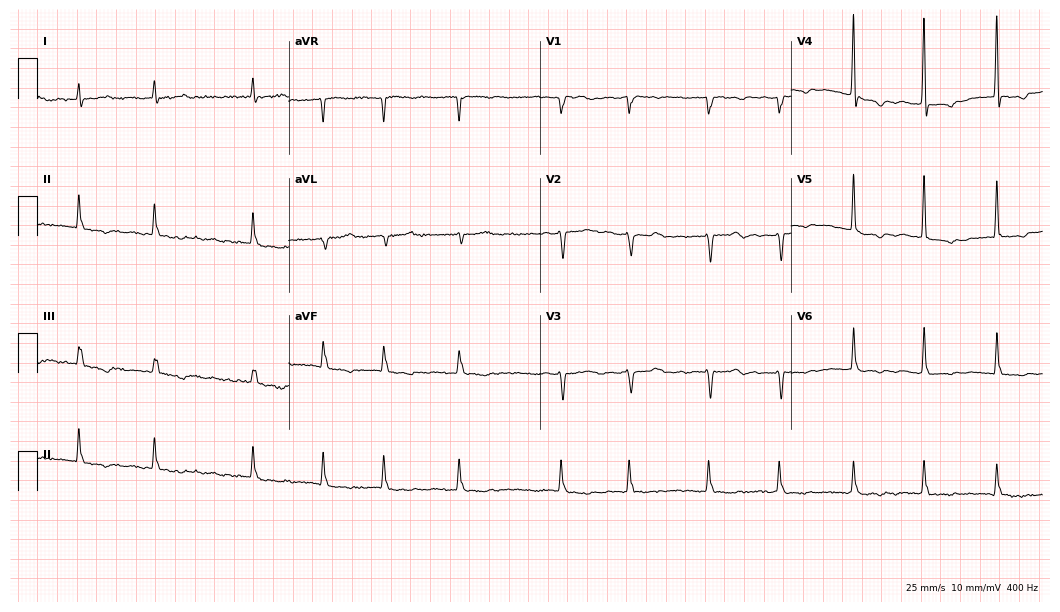
Electrocardiogram, an 80-year-old woman. Of the six screened findings (first-degree AV block, right bundle branch block, left bundle branch block, sinus bradycardia, atrial fibrillation, sinus tachycardia), none is recorded.